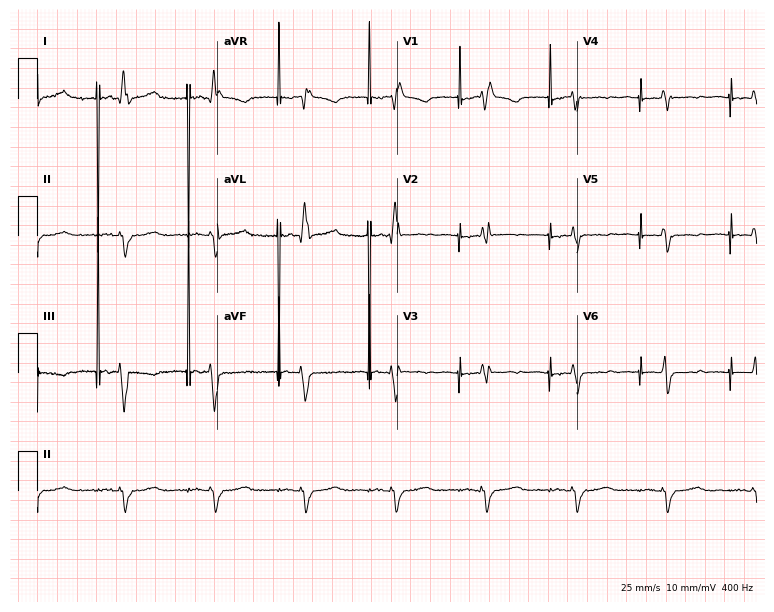
12-lead ECG from a female patient, 74 years old. Screened for six findings — first-degree AV block, right bundle branch block, left bundle branch block, sinus bradycardia, atrial fibrillation, sinus tachycardia — none is recorded.